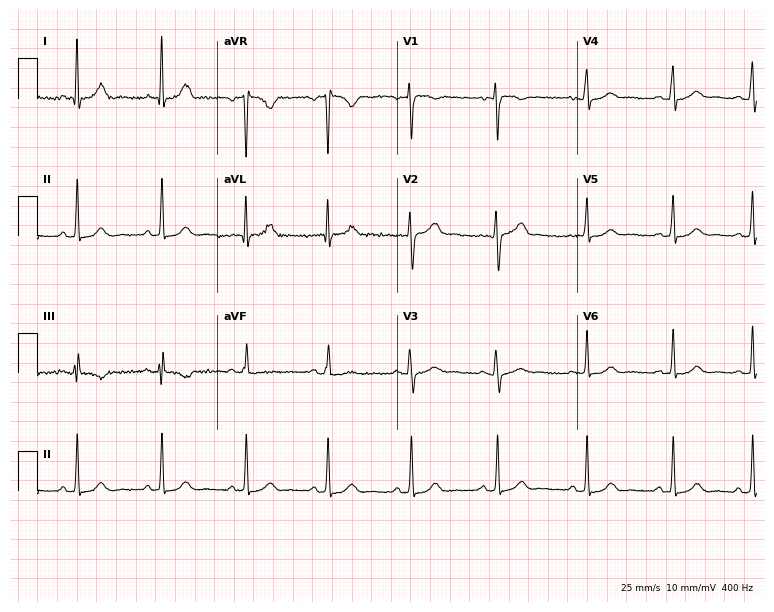
12-lead ECG from a woman, 38 years old. Labelled as a normal ECG.